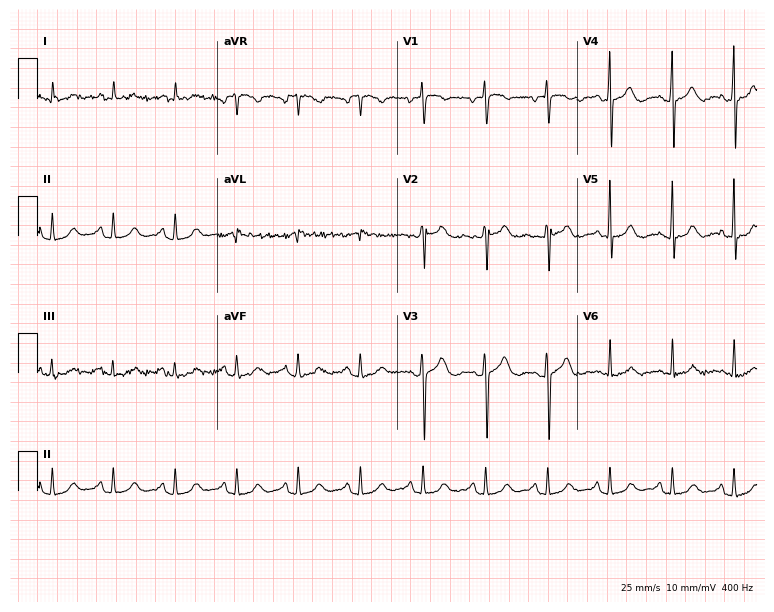
12-lead ECG (7.3-second recording at 400 Hz) from a 68-year-old woman. Labelled as a normal ECG.